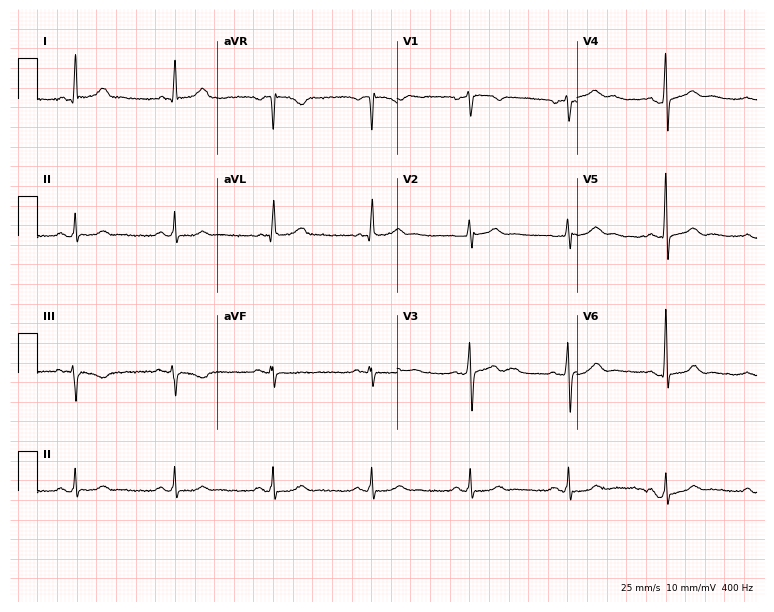
Standard 12-lead ECG recorded from a 62-year-old male (7.3-second recording at 400 Hz). None of these six findings is recorded: first-degree AV block, right bundle branch block, left bundle branch block, sinus bradycardia, atrial fibrillation, sinus tachycardia. Other findings, if any, are not listed.